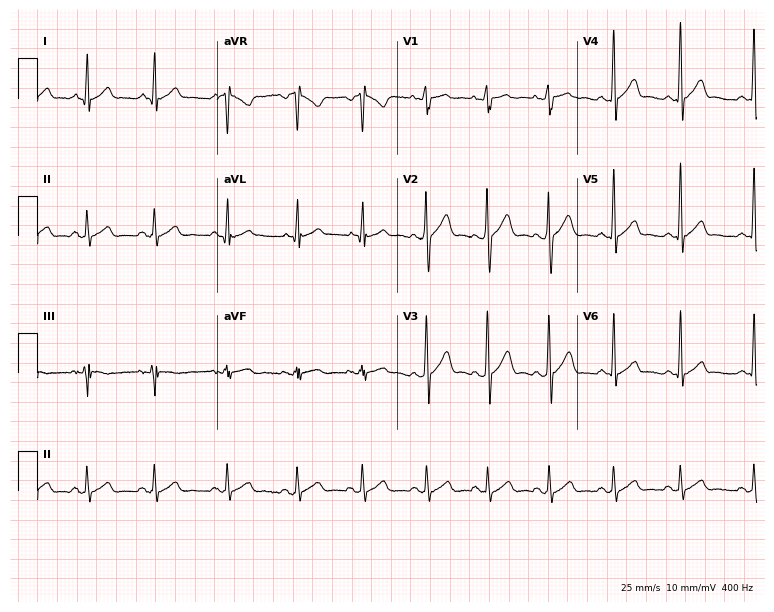
12-lead ECG from a 20-year-old male. Recorded interpretation: within normal limits.